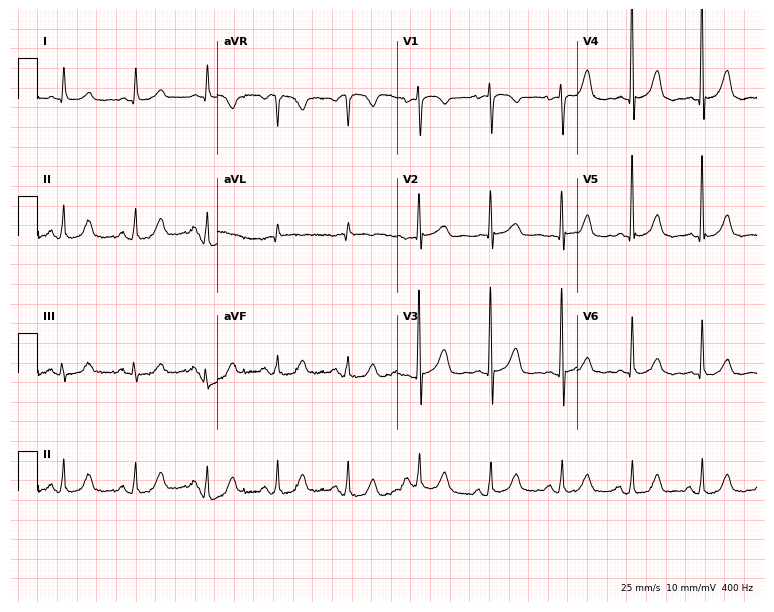
12-lead ECG from a female, 75 years old. Labelled as a normal ECG.